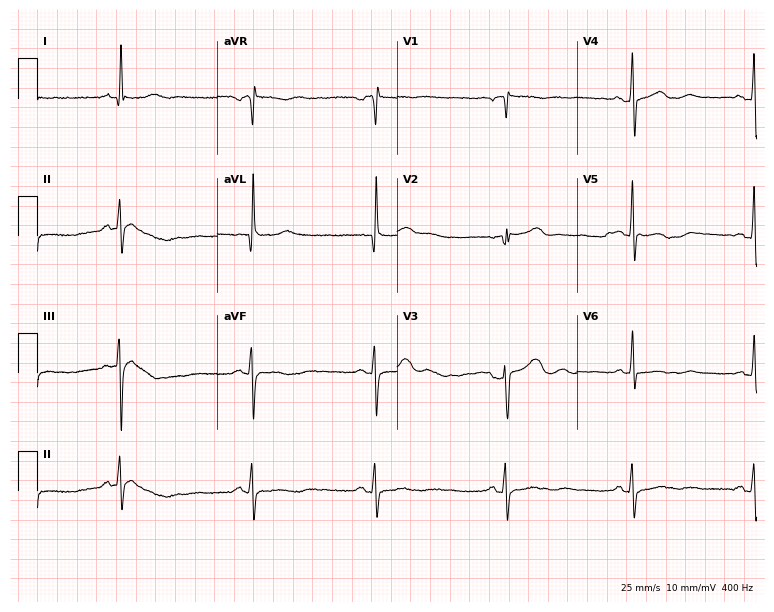
12-lead ECG from a 66-year-old female. Screened for six findings — first-degree AV block, right bundle branch block, left bundle branch block, sinus bradycardia, atrial fibrillation, sinus tachycardia — none is recorded.